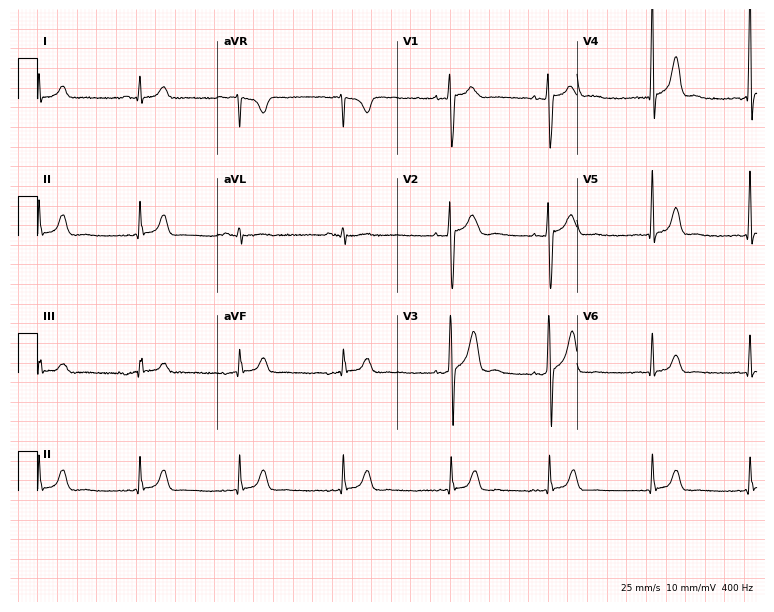
12-lead ECG (7.3-second recording at 400 Hz) from a man, 17 years old. Labelled as a normal ECG.